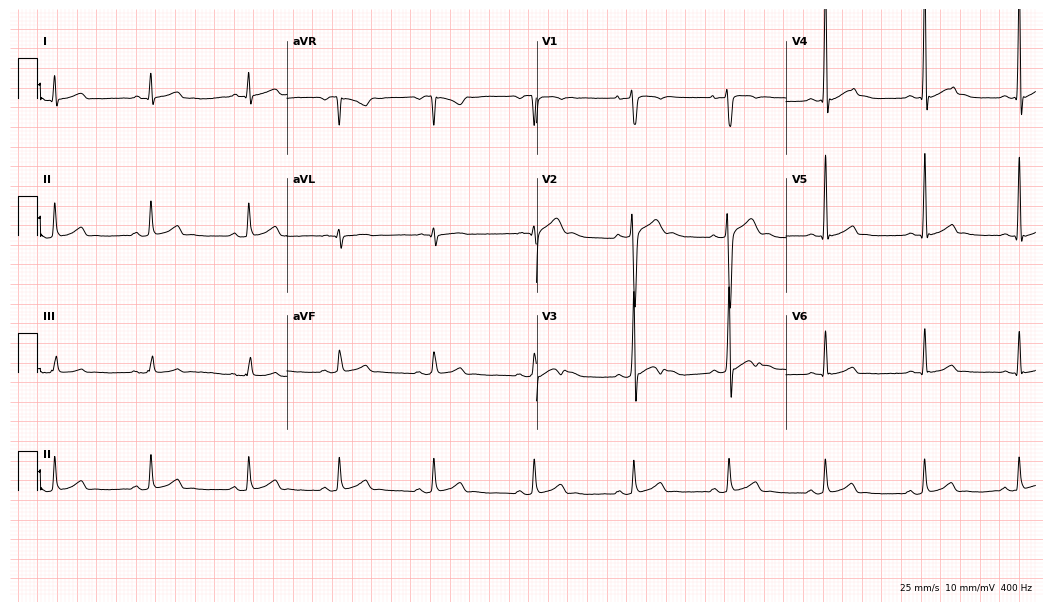
Electrocardiogram, a 19-year-old man. Overall reading on record: normal ECG.